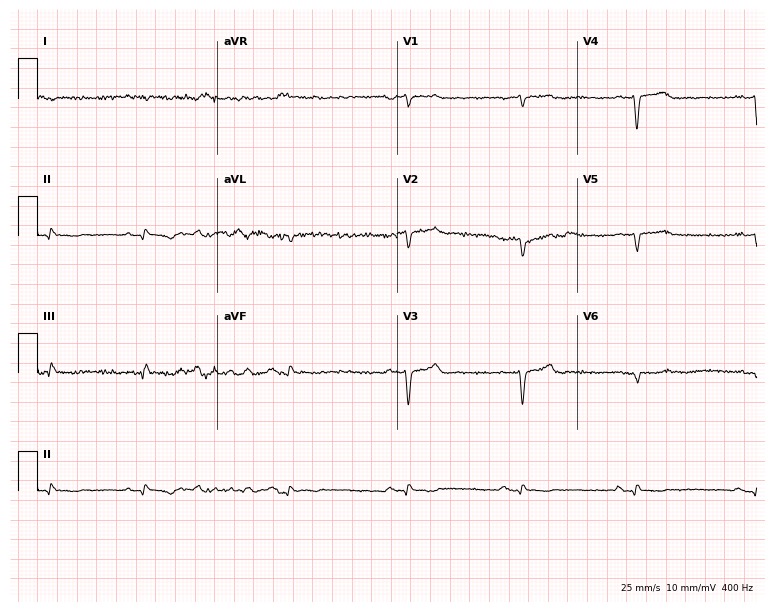
Resting 12-lead electrocardiogram (7.3-second recording at 400 Hz). Patient: a man, 82 years old. None of these six findings is recorded: first-degree AV block, right bundle branch block (RBBB), left bundle branch block (LBBB), sinus bradycardia, atrial fibrillation (AF), sinus tachycardia.